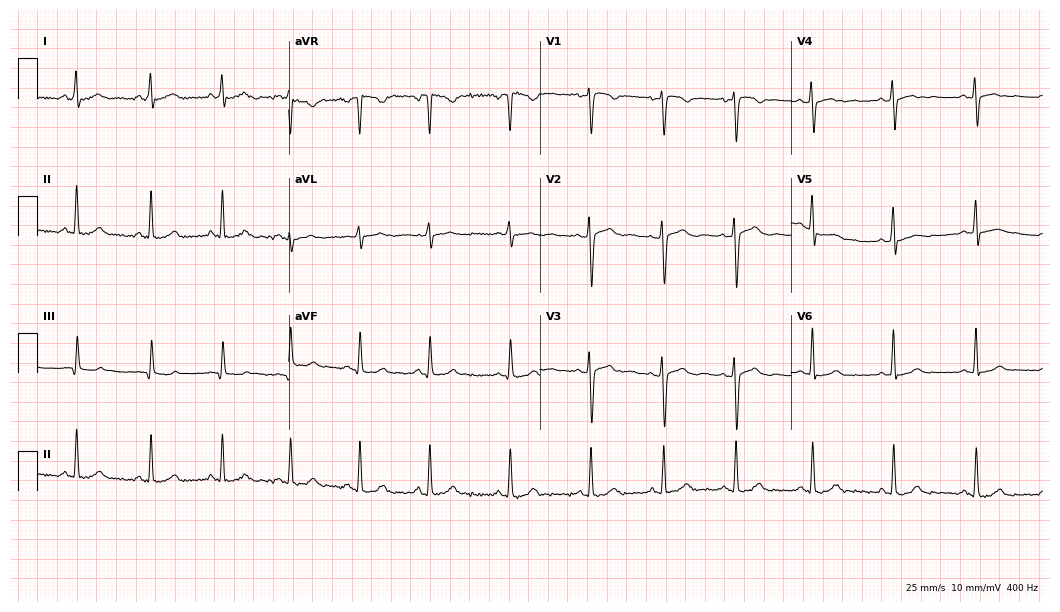
ECG (10.2-second recording at 400 Hz) — a 21-year-old female. Labelled as a normal ECG.